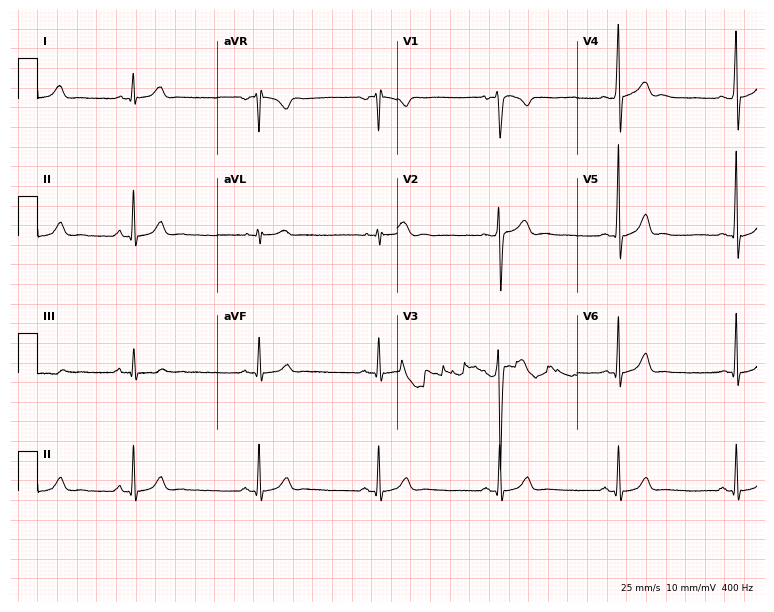
Resting 12-lead electrocardiogram (7.3-second recording at 400 Hz). Patient: a 20-year-old male. The tracing shows sinus bradycardia (a sinus rate of 50 beats per minute or less).